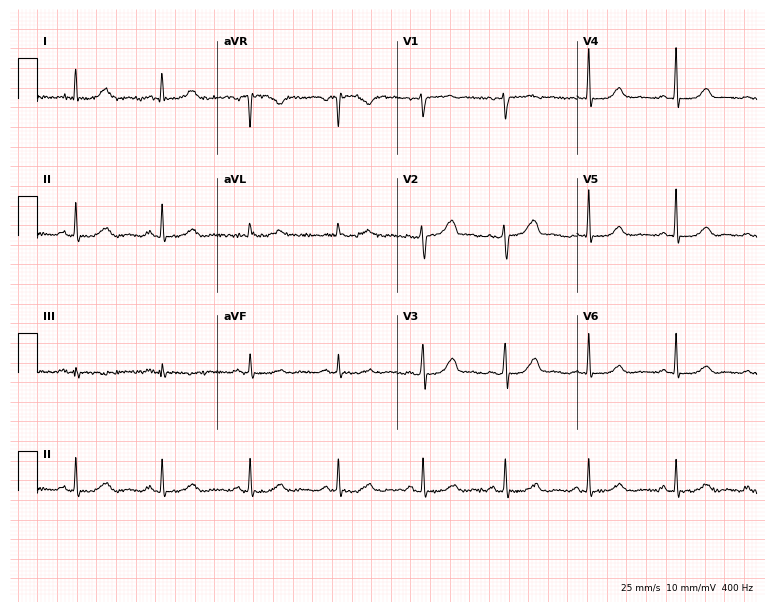
Electrocardiogram, a female, 46 years old. Of the six screened findings (first-degree AV block, right bundle branch block, left bundle branch block, sinus bradycardia, atrial fibrillation, sinus tachycardia), none is recorded.